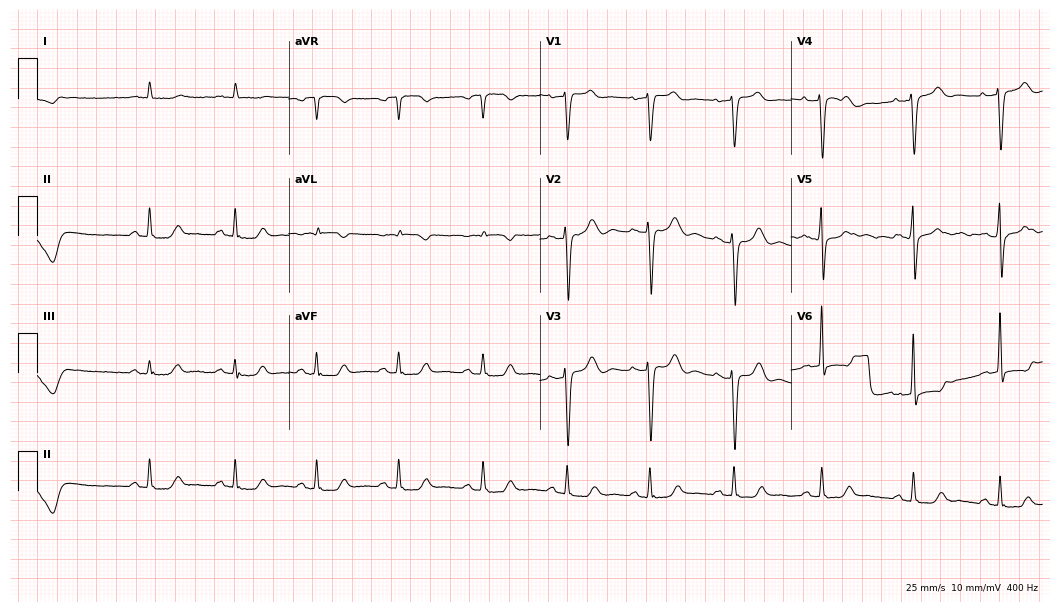
Standard 12-lead ECG recorded from an 83-year-old male. None of these six findings is recorded: first-degree AV block, right bundle branch block (RBBB), left bundle branch block (LBBB), sinus bradycardia, atrial fibrillation (AF), sinus tachycardia. Only these six findings were labelled.